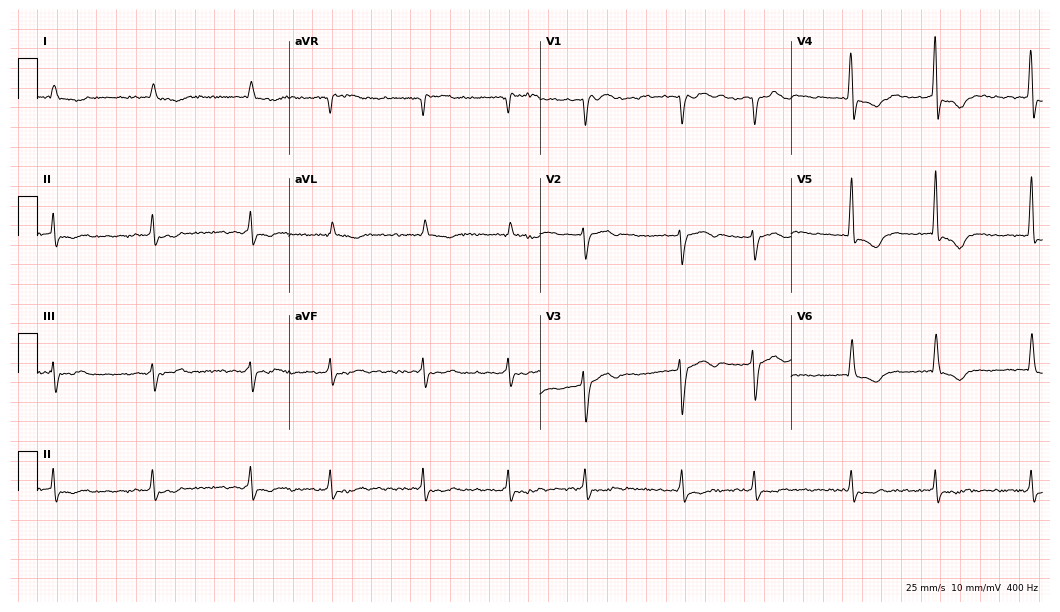
Electrocardiogram, a 76-year-old male patient. Interpretation includes atrial fibrillation.